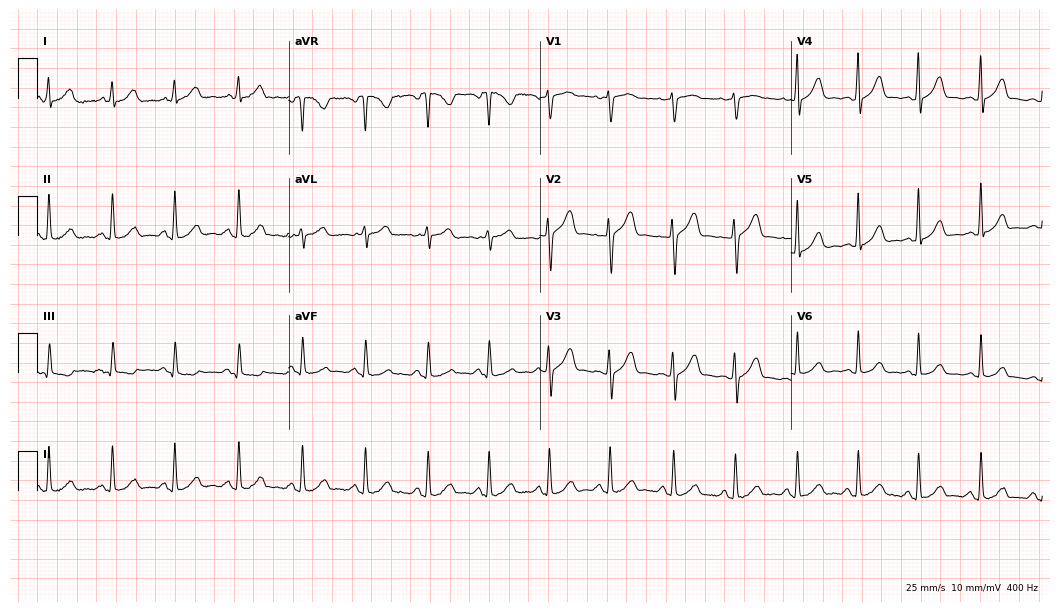
12-lead ECG from a 20-year-old female patient. No first-degree AV block, right bundle branch block, left bundle branch block, sinus bradycardia, atrial fibrillation or sinus tachycardia recorded for this tracing. Only these six findings were labelled.